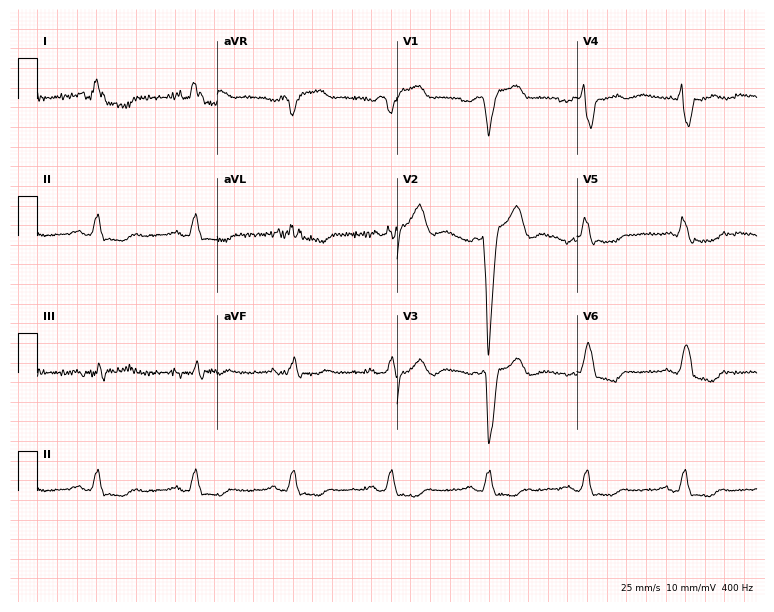
Resting 12-lead electrocardiogram. Patient: a 60-year-old female. The tracing shows left bundle branch block.